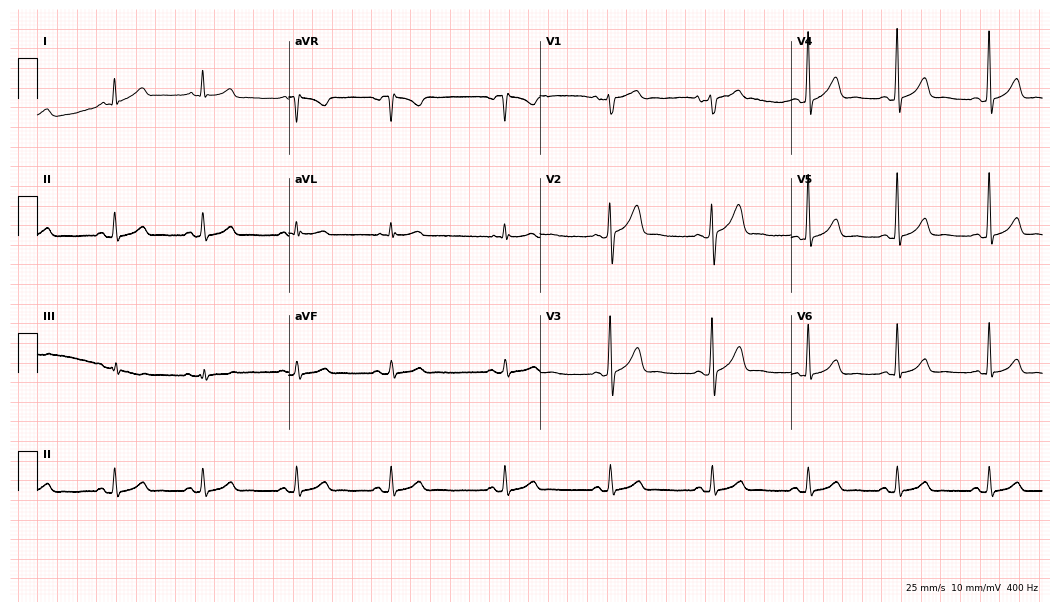
Electrocardiogram, a male patient, 69 years old. Overall reading on record: normal ECG.